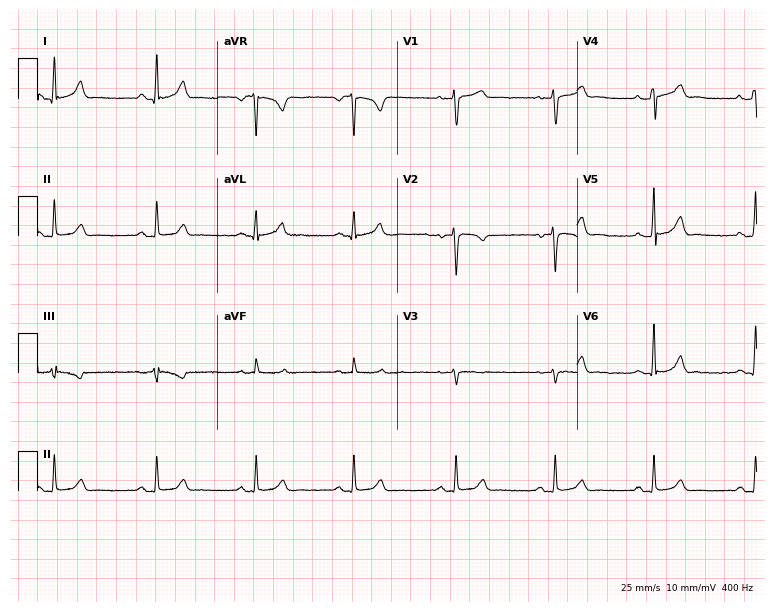
ECG — a 34-year-old female patient. Labelled as a normal ECG.